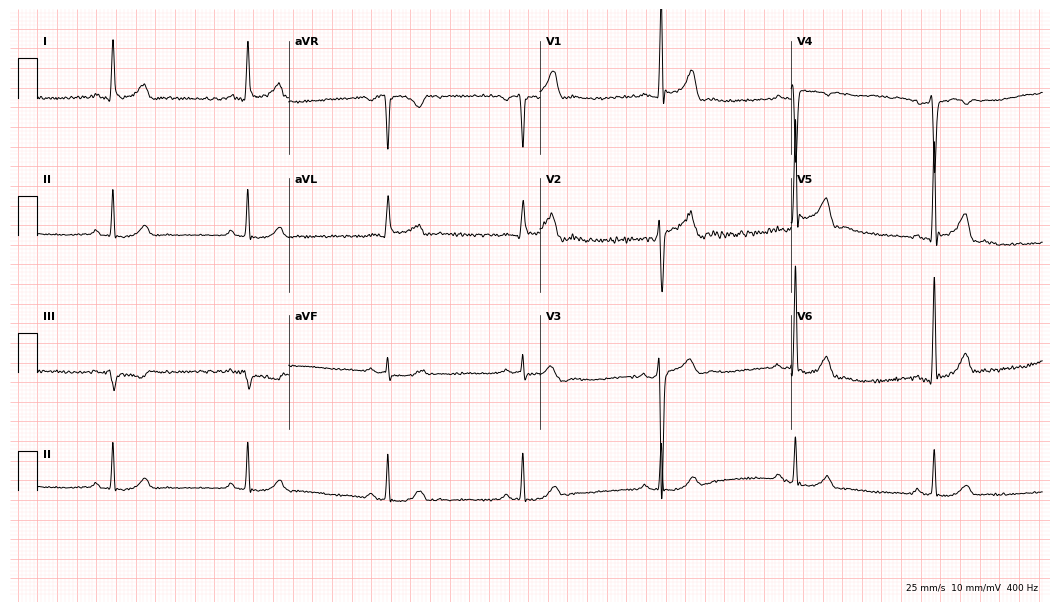
Standard 12-lead ECG recorded from a man, 36 years old. None of these six findings is recorded: first-degree AV block, right bundle branch block, left bundle branch block, sinus bradycardia, atrial fibrillation, sinus tachycardia.